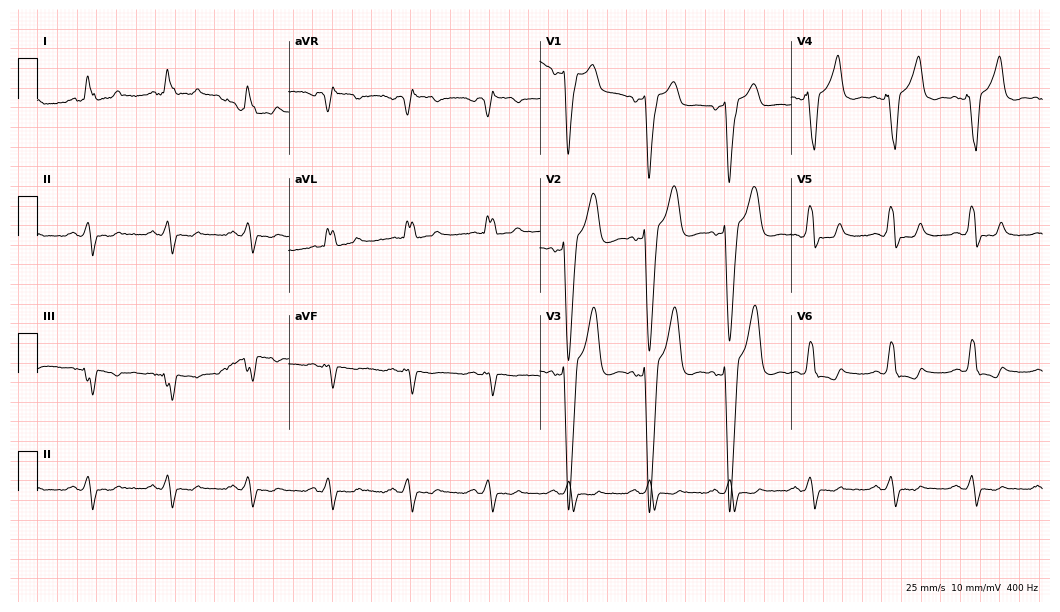
12-lead ECG from a male patient, 63 years old. Findings include left bundle branch block.